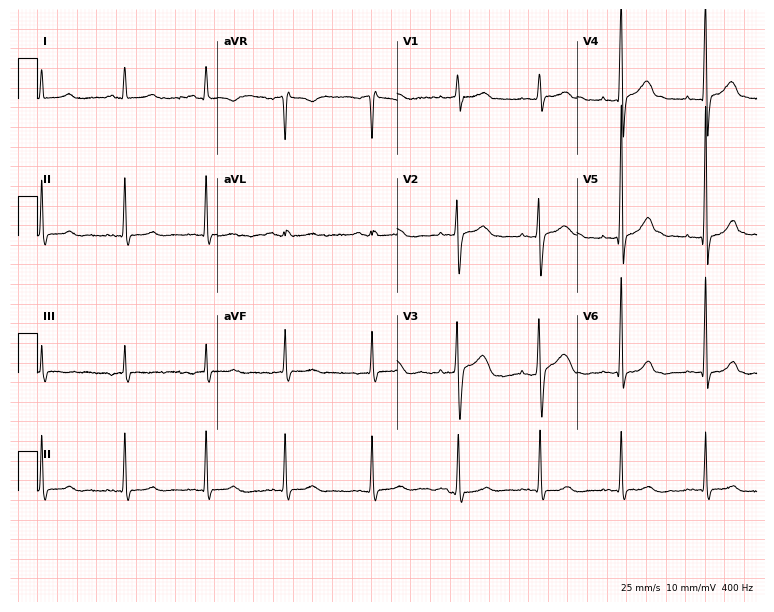
ECG (7.3-second recording at 400 Hz) — a female, 26 years old. Screened for six findings — first-degree AV block, right bundle branch block, left bundle branch block, sinus bradycardia, atrial fibrillation, sinus tachycardia — none is recorded.